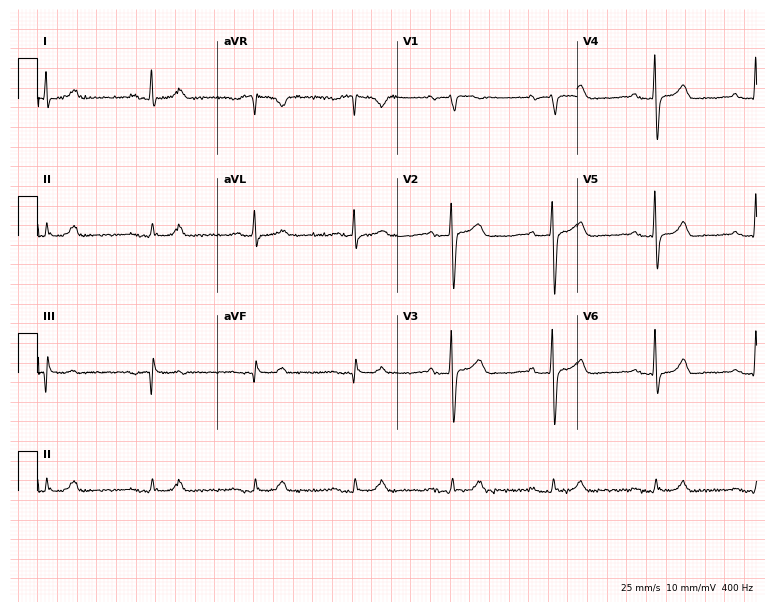
Resting 12-lead electrocardiogram (7.3-second recording at 400 Hz). Patient: a 58-year-old male. Read as a normal ECG.